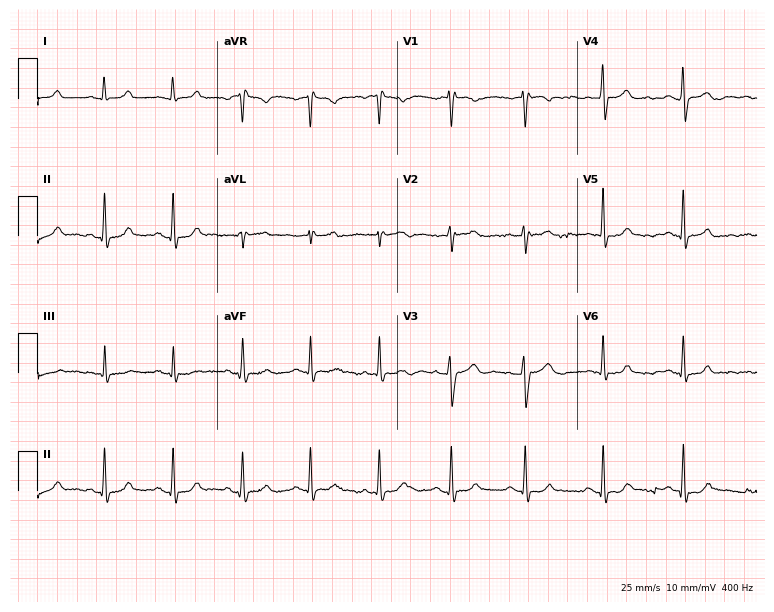
Electrocardiogram (7.3-second recording at 400 Hz), a 32-year-old female. Overall reading on record: normal ECG.